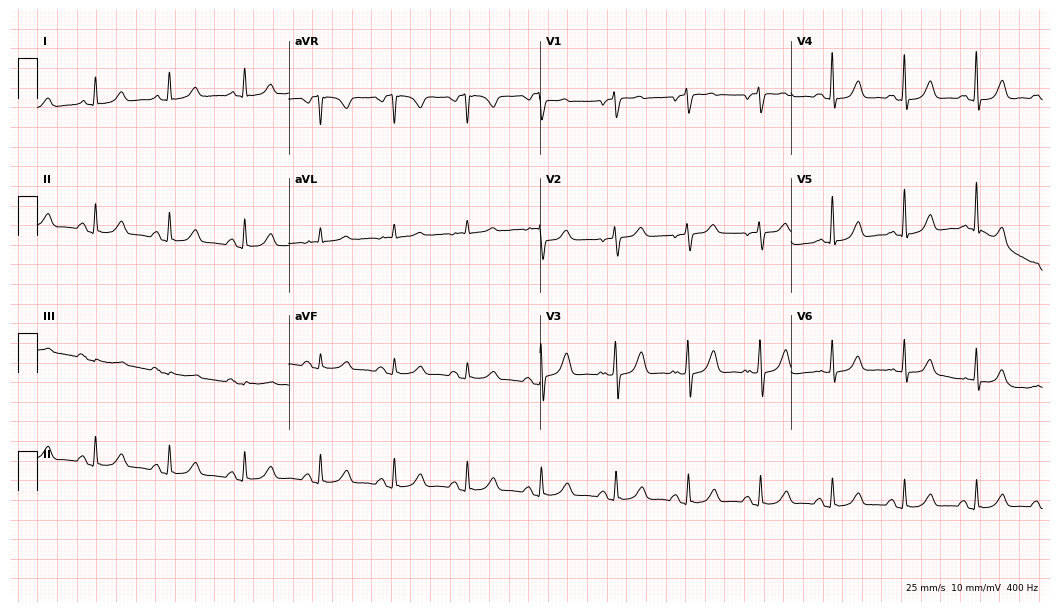
12-lead ECG (10.2-second recording at 400 Hz) from a 52-year-old woman. Screened for six findings — first-degree AV block, right bundle branch block, left bundle branch block, sinus bradycardia, atrial fibrillation, sinus tachycardia — none is recorded.